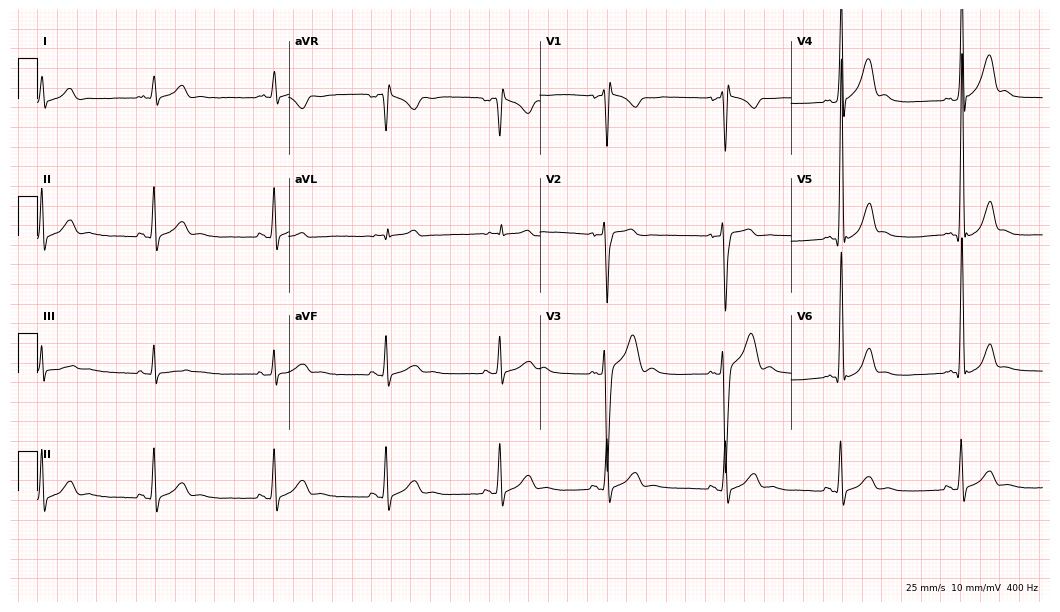
Electrocardiogram (10.2-second recording at 400 Hz), a 27-year-old male. Of the six screened findings (first-degree AV block, right bundle branch block, left bundle branch block, sinus bradycardia, atrial fibrillation, sinus tachycardia), none is recorded.